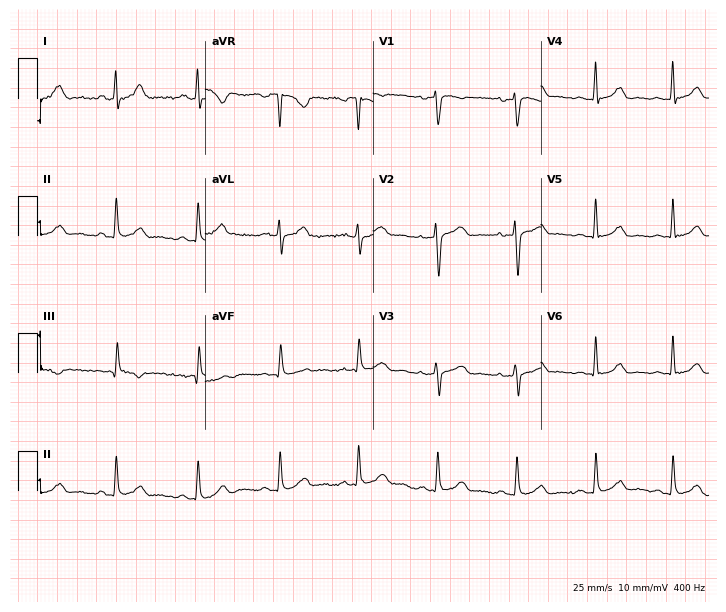
Electrocardiogram (6.8-second recording at 400 Hz), a 46-year-old woman. Overall reading on record: normal ECG.